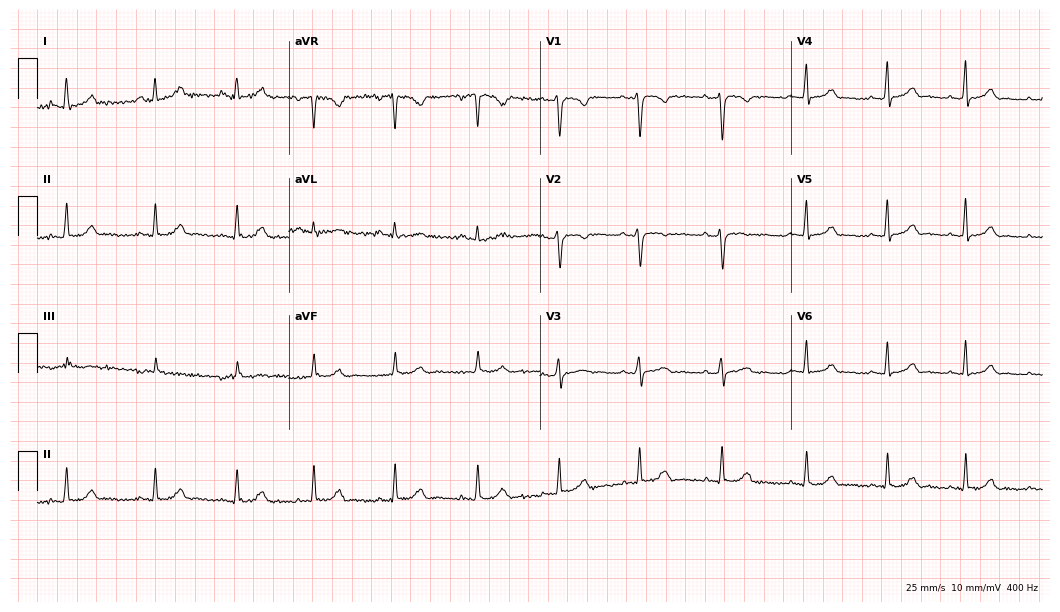
Electrocardiogram (10.2-second recording at 400 Hz), a woman, 33 years old. Of the six screened findings (first-degree AV block, right bundle branch block, left bundle branch block, sinus bradycardia, atrial fibrillation, sinus tachycardia), none is recorded.